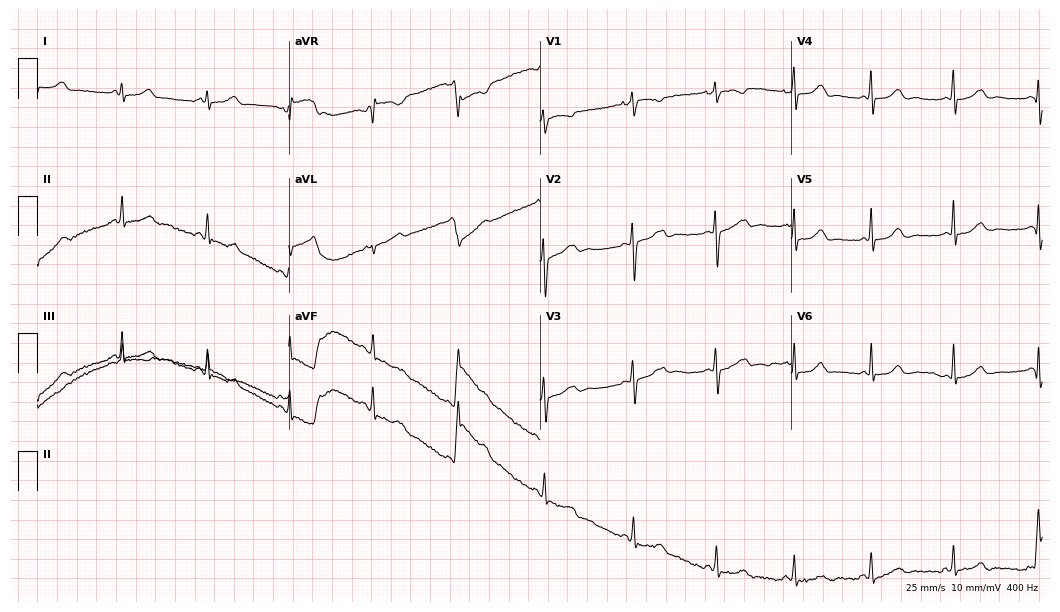
12-lead ECG from a female patient, 24 years old (10.2-second recording at 400 Hz). Recorded interpretation: within normal limits.